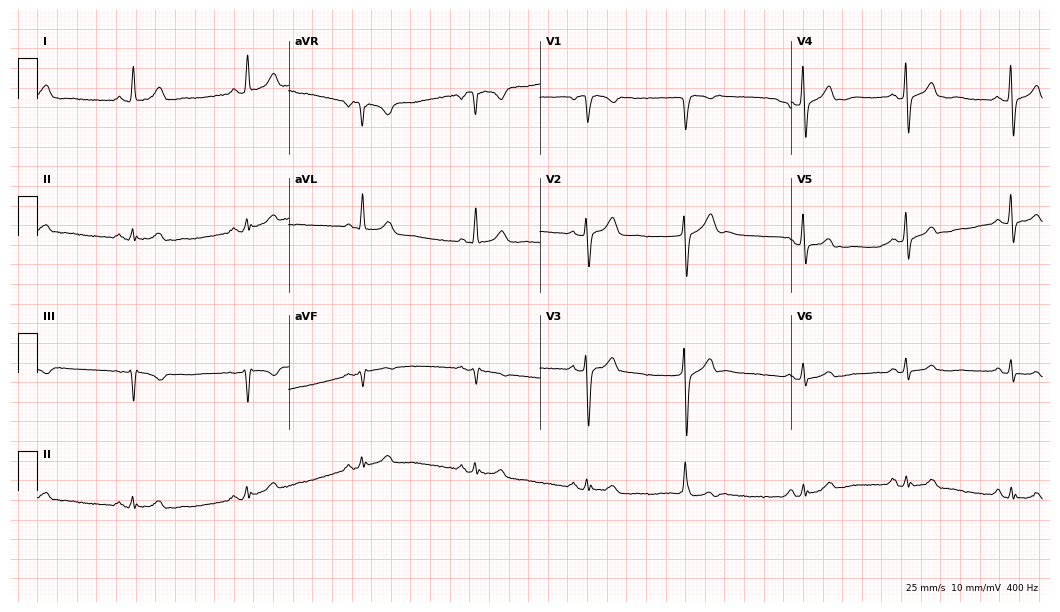
Electrocardiogram (10.2-second recording at 400 Hz), a male, 66 years old. Overall reading on record: normal ECG.